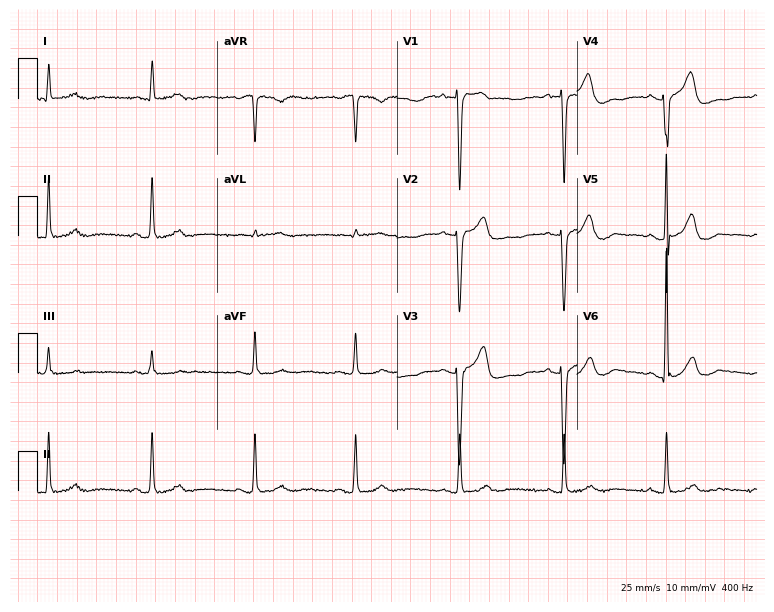
Resting 12-lead electrocardiogram (7.3-second recording at 400 Hz). Patient: a 57-year-old male. None of these six findings is recorded: first-degree AV block, right bundle branch block, left bundle branch block, sinus bradycardia, atrial fibrillation, sinus tachycardia.